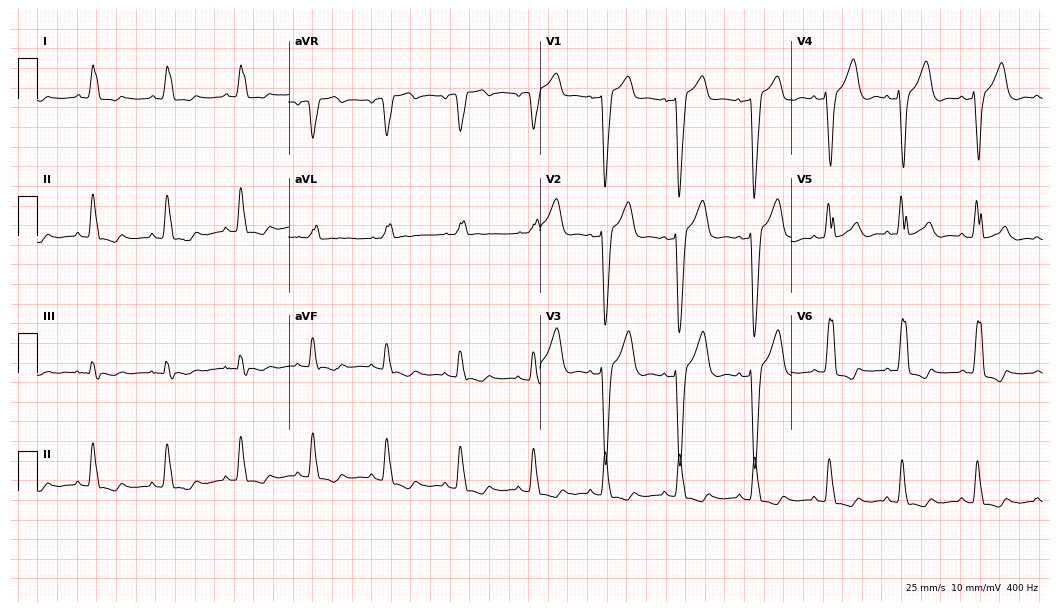
12-lead ECG from a 63-year-old female patient (10.2-second recording at 400 Hz). Shows left bundle branch block.